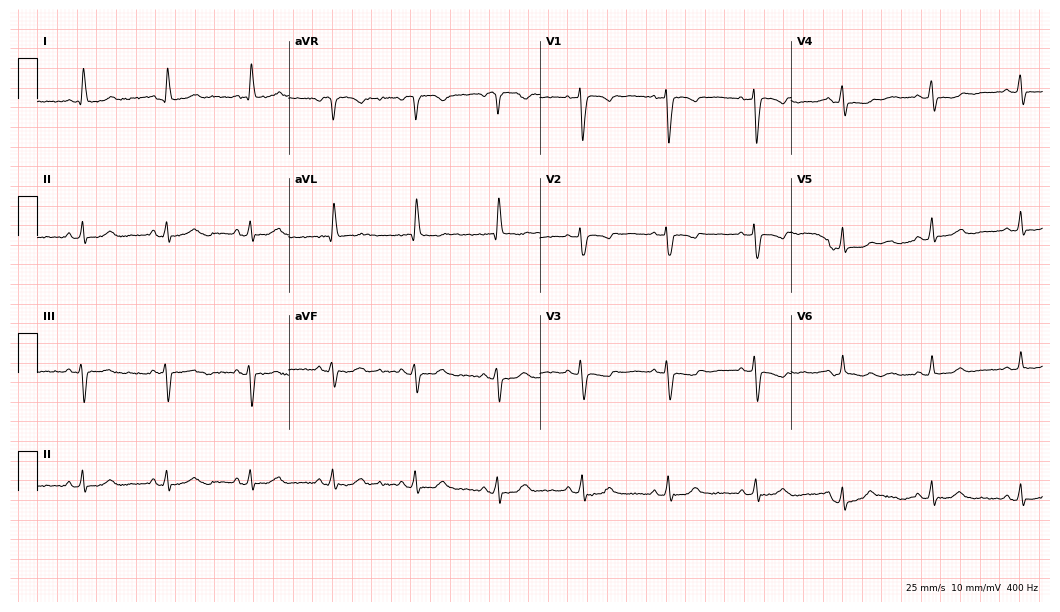
Standard 12-lead ECG recorded from a 58-year-old female patient (10.2-second recording at 400 Hz). Read as a normal ECG.